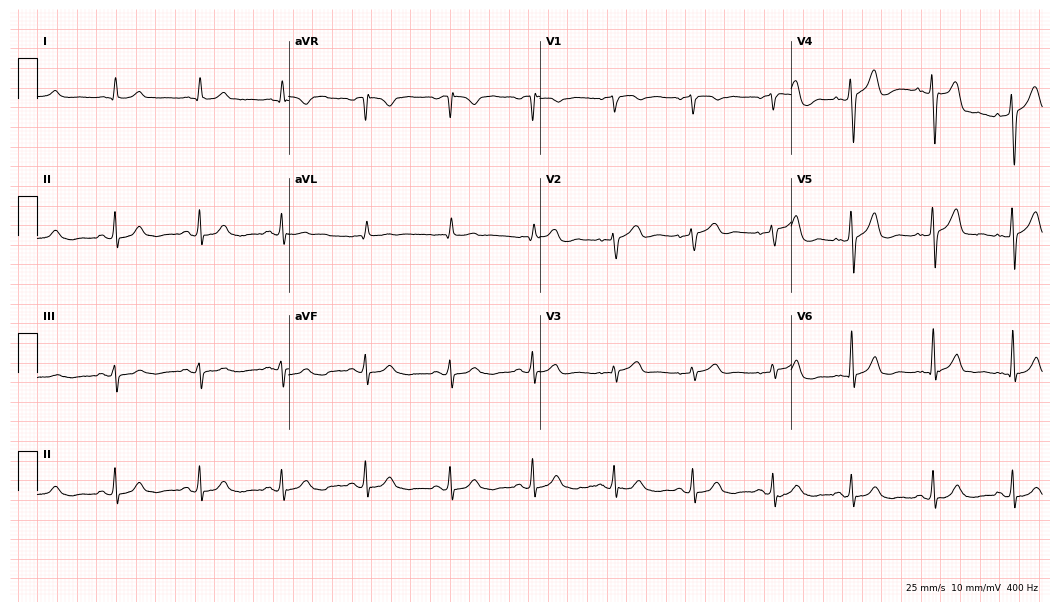
Resting 12-lead electrocardiogram (10.2-second recording at 400 Hz). Patient: a male, 71 years old. Read as a normal ECG.